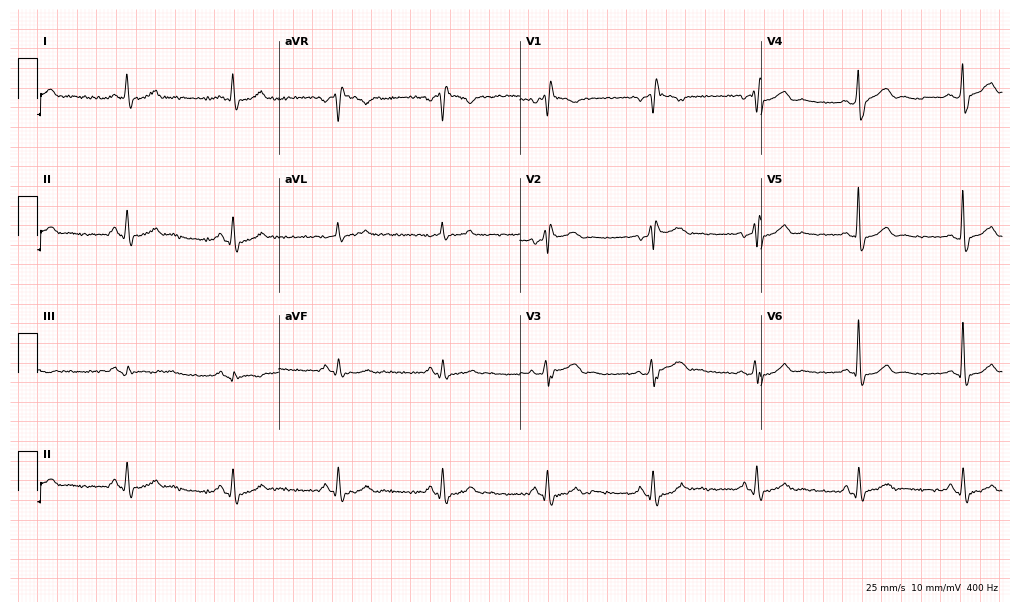
12-lead ECG from a man, 70 years old. Screened for six findings — first-degree AV block, right bundle branch block (RBBB), left bundle branch block (LBBB), sinus bradycardia, atrial fibrillation (AF), sinus tachycardia — none is recorded.